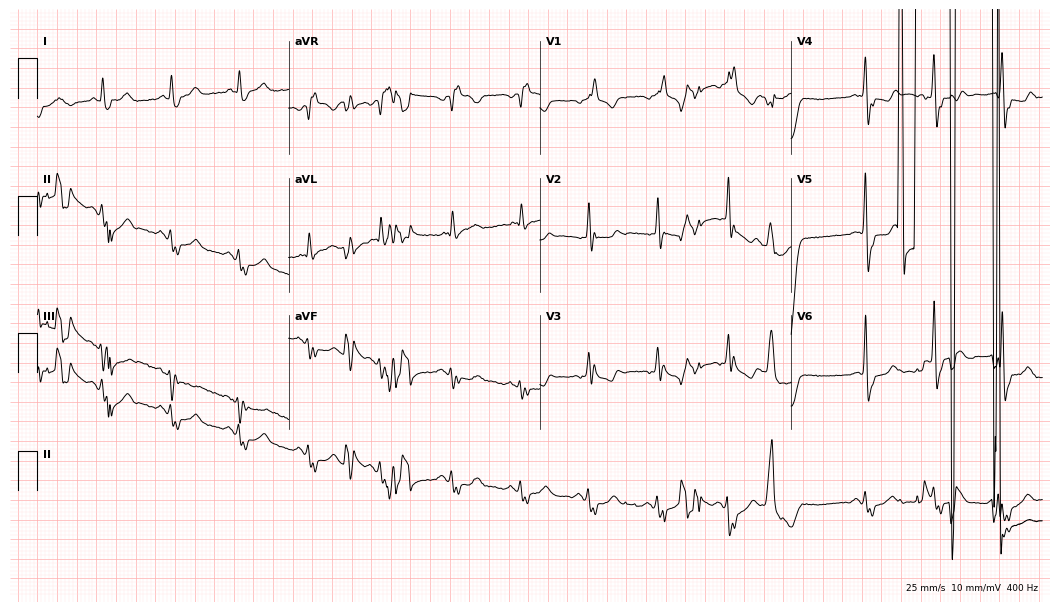
Electrocardiogram (10.2-second recording at 400 Hz), a woman, 75 years old. Of the six screened findings (first-degree AV block, right bundle branch block (RBBB), left bundle branch block (LBBB), sinus bradycardia, atrial fibrillation (AF), sinus tachycardia), none is recorded.